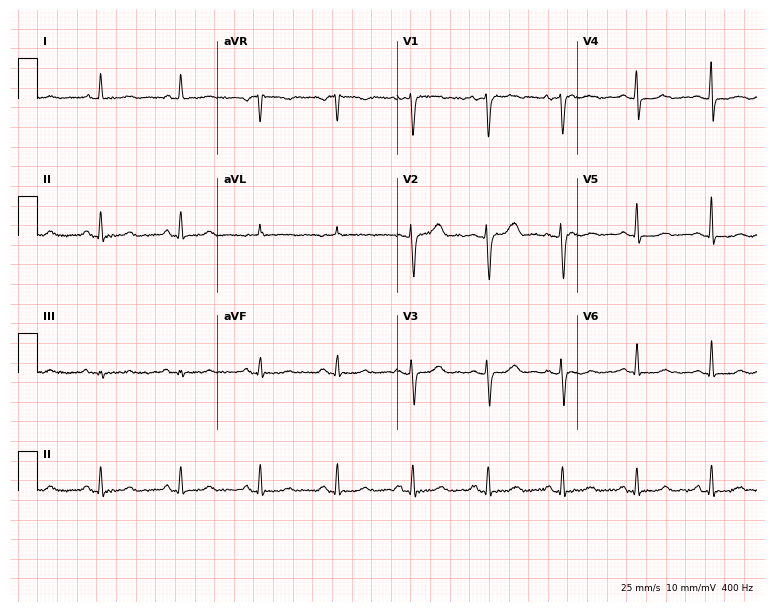
Standard 12-lead ECG recorded from a 52-year-old woman. None of these six findings is recorded: first-degree AV block, right bundle branch block (RBBB), left bundle branch block (LBBB), sinus bradycardia, atrial fibrillation (AF), sinus tachycardia. Findings outside these six are not listed.